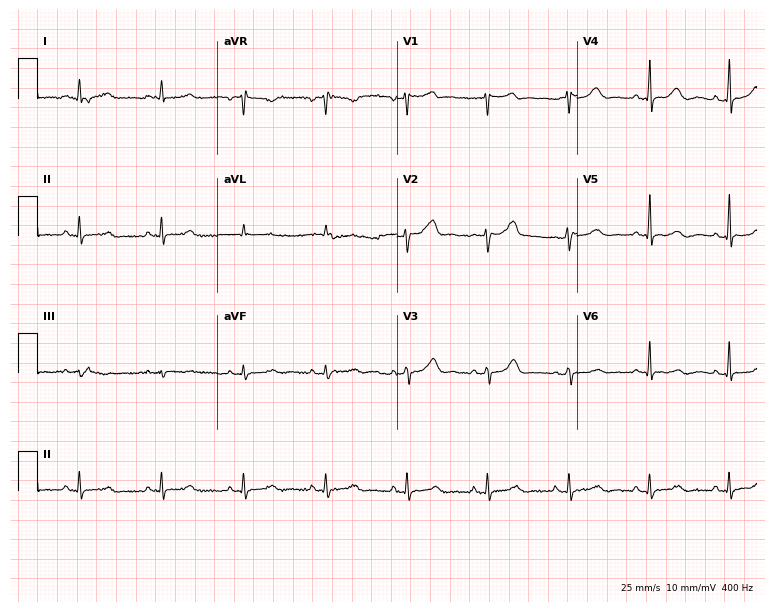
12-lead ECG from a female patient, 46 years old (7.3-second recording at 400 Hz). No first-degree AV block, right bundle branch block, left bundle branch block, sinus bradycardia, atrial fibrillation or sinus tachycardia recorded for this tracing. Only these six findings were labelled.